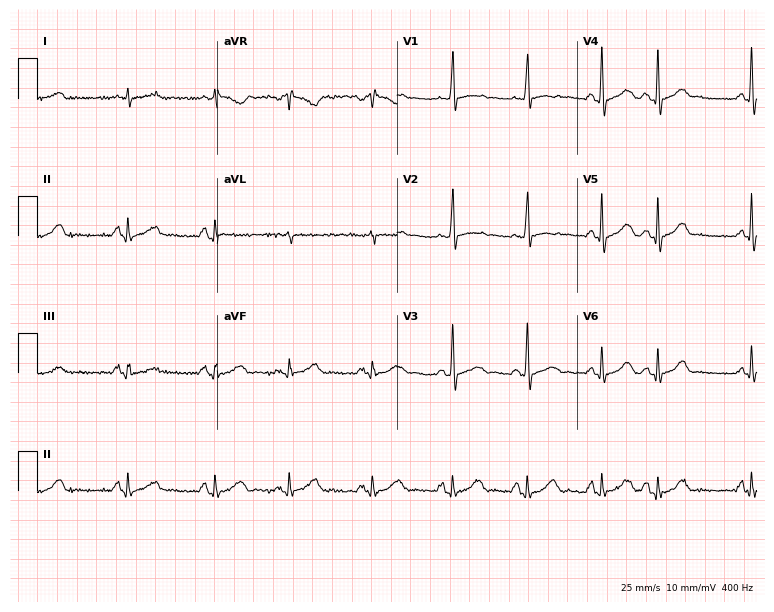
12-lead ECG from an 80-year-old woman. Recorded interpretation: within normal limits.